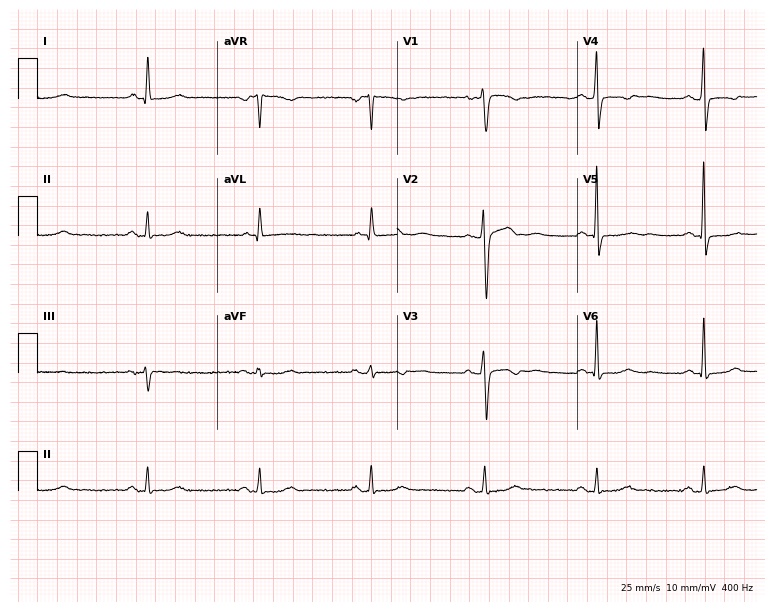
12-lead ECG from a woman, 68 years old (7.3-second recording at 400 Hz). No first-degree AV block, right bundle branch block, left bundle branch block, sinus bradycardia, atrial fibrillation or sinus tachycardia recorded for this tracing.